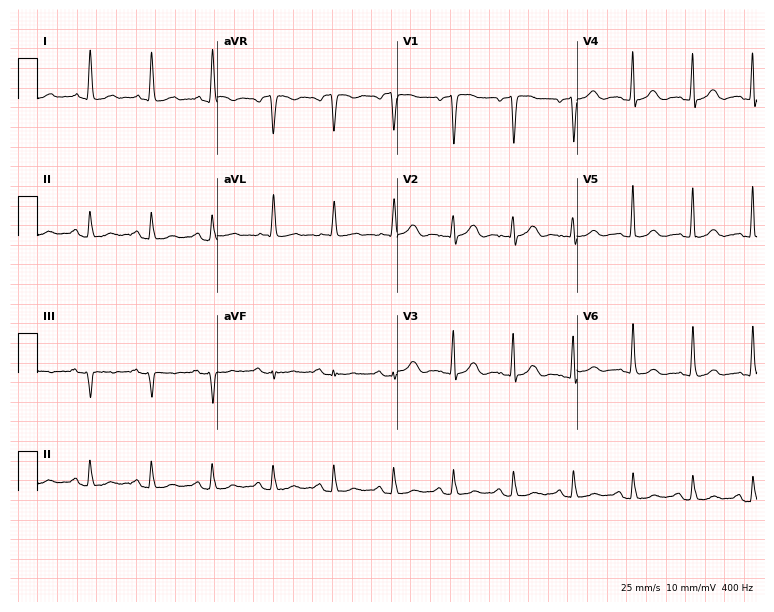
12-lead ECG from a female, 77 years old. Screened for six findings — first-degree AV block, right bundle branch block, left bundle branch block, sinus bradycardia, atrial fibrillation, sinus tachycardia — none is recorded.